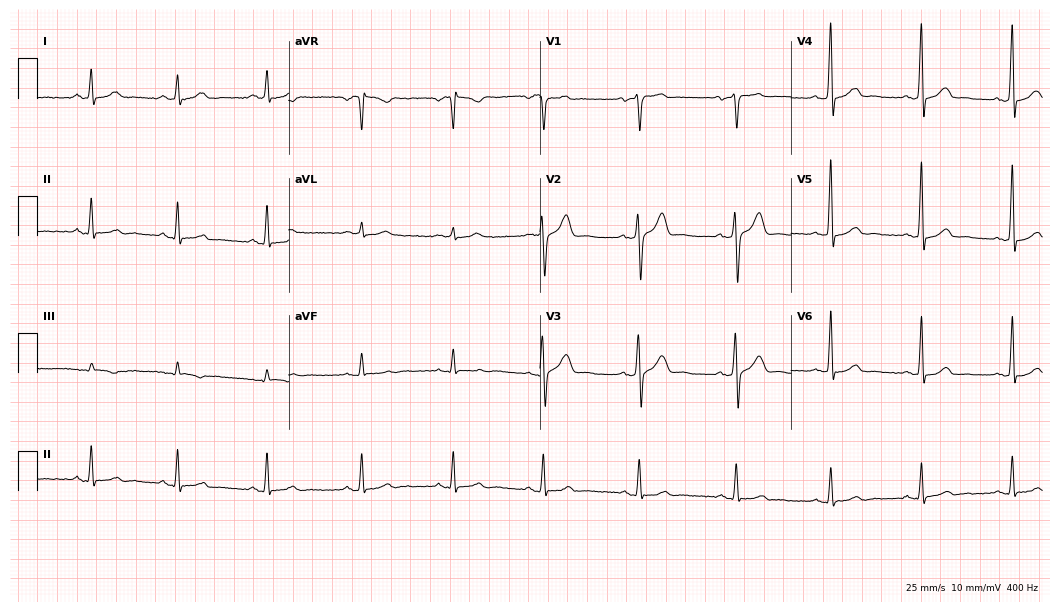
12-lead ECG from a 55-year-old man. Labelled as a normal ECG.